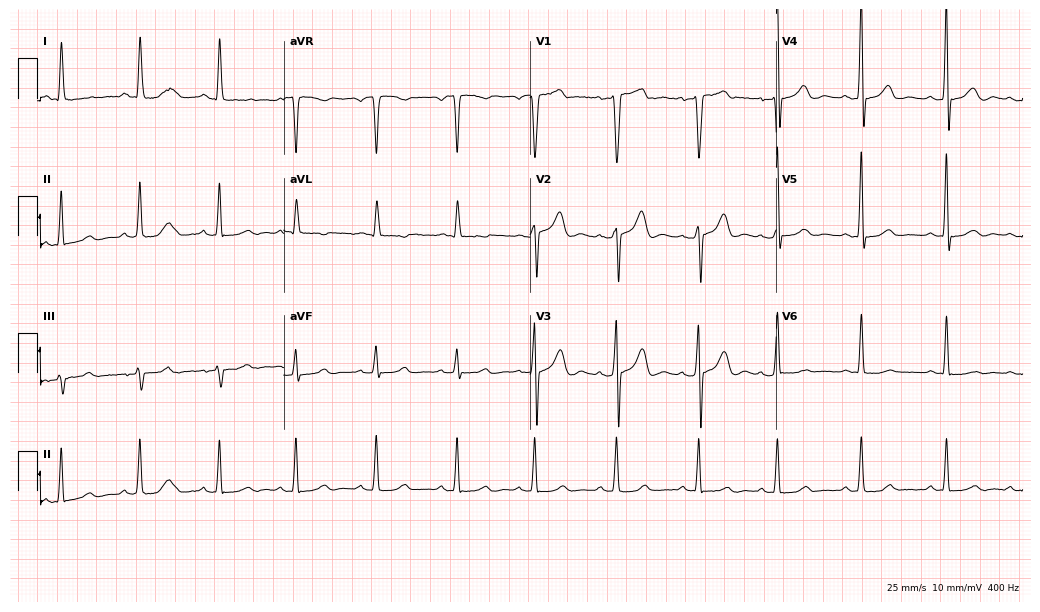
12-lead ECG from a 38-year-old female patient. Recorded interpretation: within normal limits.